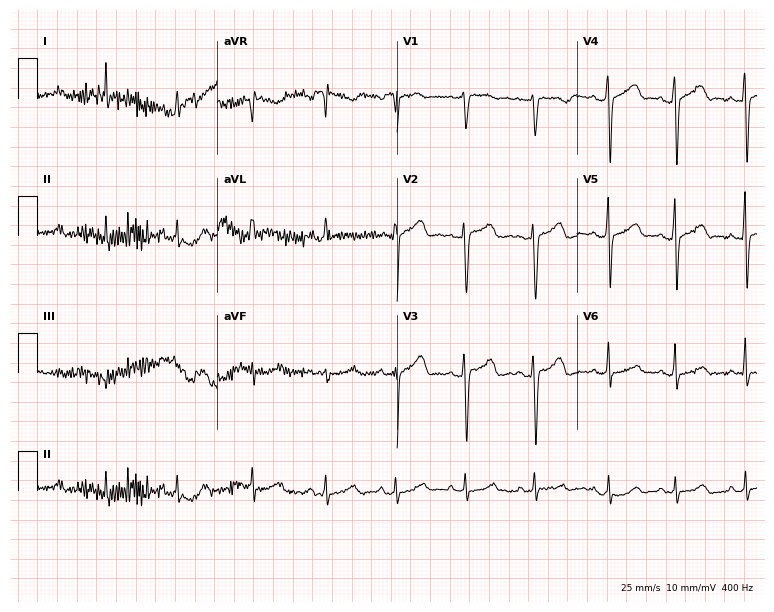
12-lead ECG from a woman, 51 years old (7.3-second recording at 400 Hz). No first-degree AV block, right bundle branch block, left bundle branch block, sinus bradycardia, atrial fibrillation or sinus tachycardia recorded for this tracing.